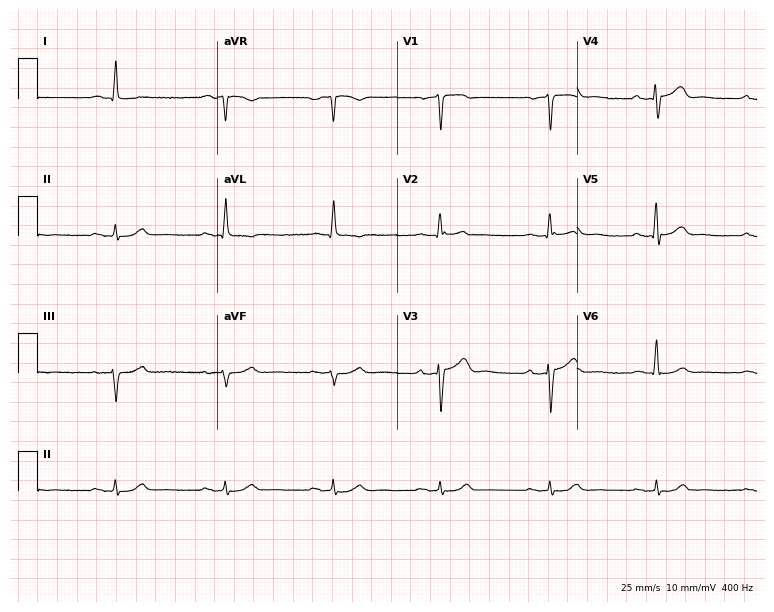
Standard 12-lead ECG recorded from a 62-year-old male patient. Read as a normal ECG.